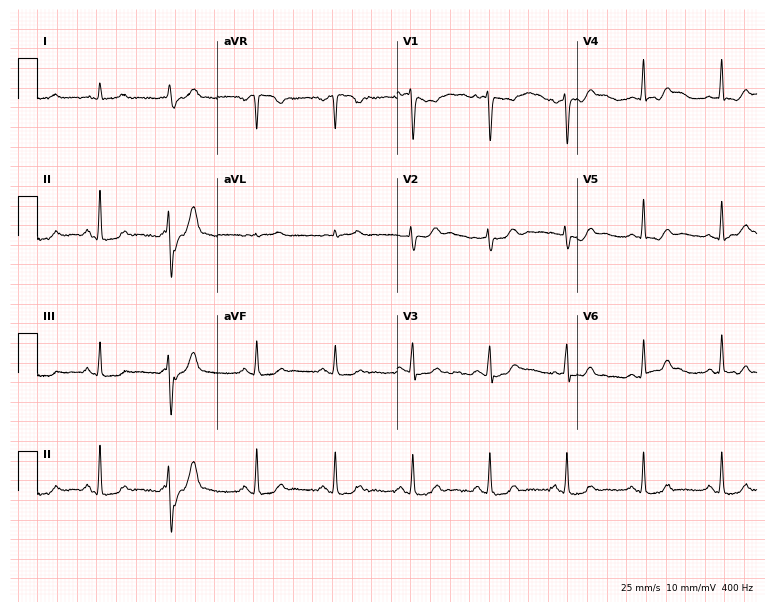
12-lead ECG from a 30-year-old female patient. Labelled as a normal ECG.